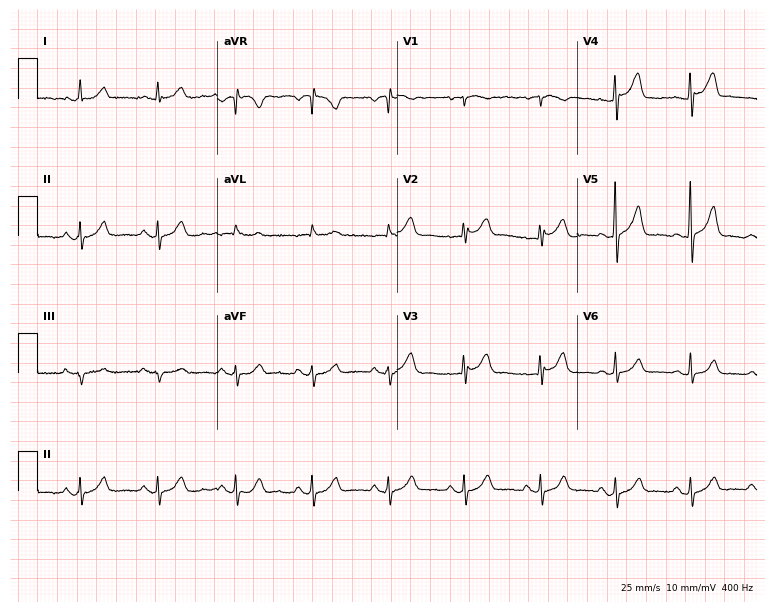
Electrocardiogram, a male, 69 years old. Overall reading on record: normal ECG.